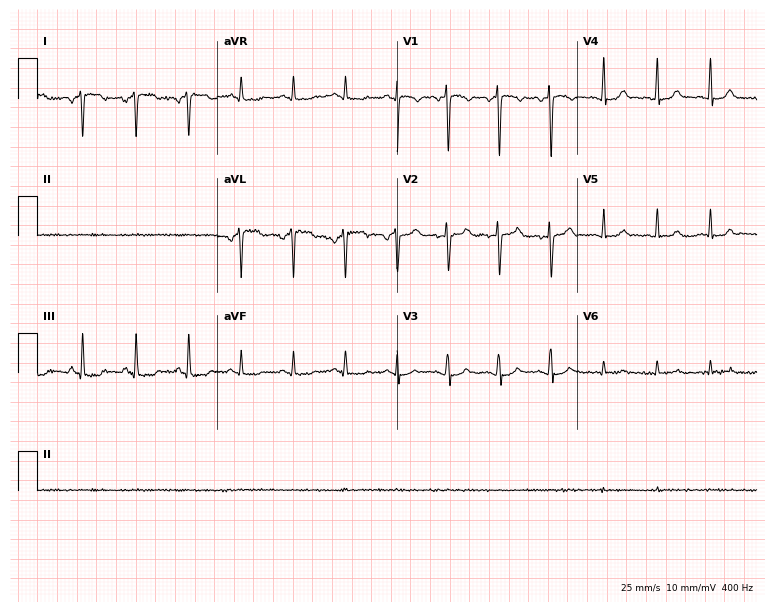
Resting 12-lead electrocardiogram (7.3-second recording at 400 Hz). Patient: a female, 28 years old. None of these six findings is recorded: first-degree AV block, right bundle branch block, left bundle branch block, sinus bradycardia, atrial fibrillation, sinus tachycardia.